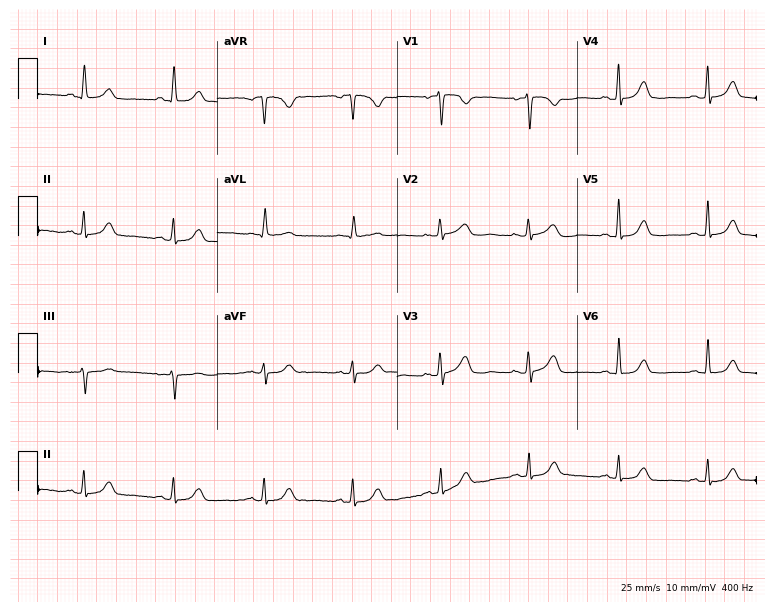
12-lead ECG from a female patient, 77 years old. Screened for six findings — first-degree AV block, right bundle branch block, left bundle branch block, sinus bradycardia, atrial fibrillation, sinus tachycardia — none is recorded. Other findings, if any, are not listed.